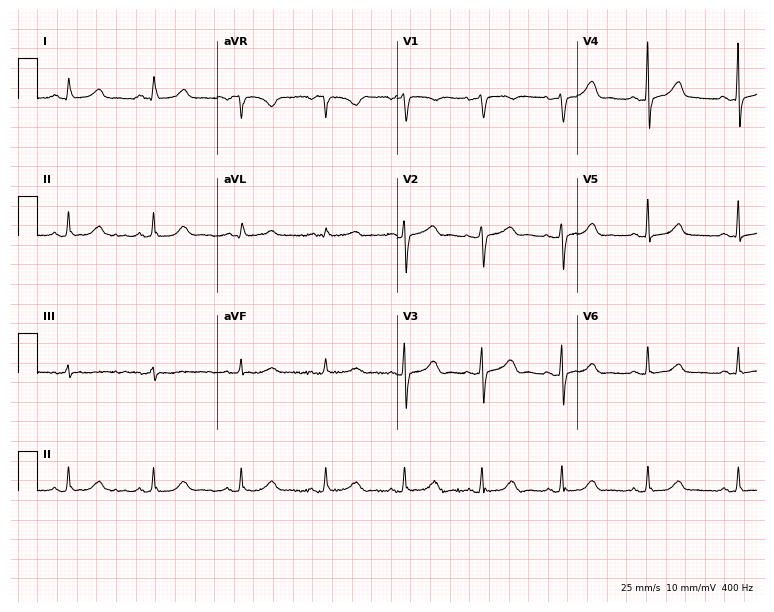
Electrocardiogram, a 47-year-old female patient. Overall reading on record: normal ECG.